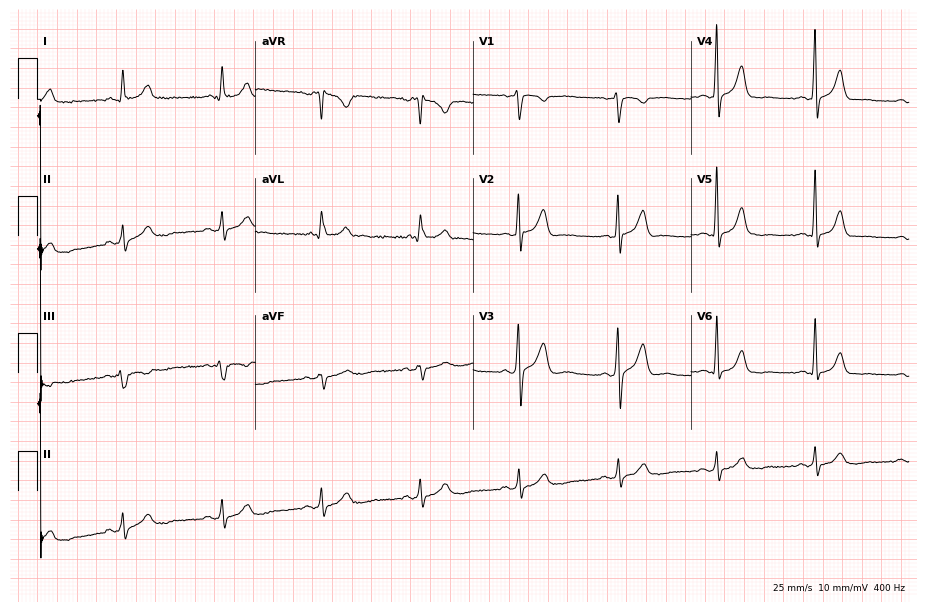
Resting 12-lead electrocardiogram. Patient: a man, 60 years old. Read as a normal ECG.